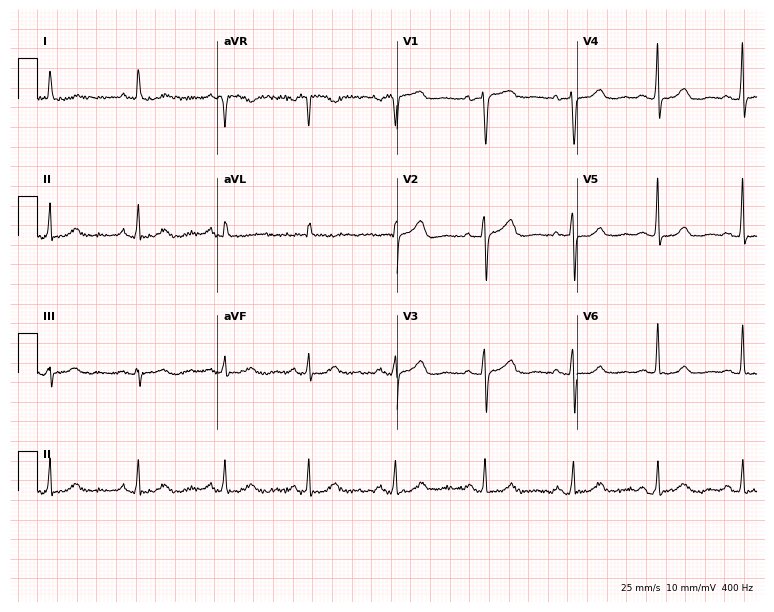
Electrocardiogram (7.3-second recording at 400 Hz), a female patient, 66 years old. Overall reading on record: normal ECG.